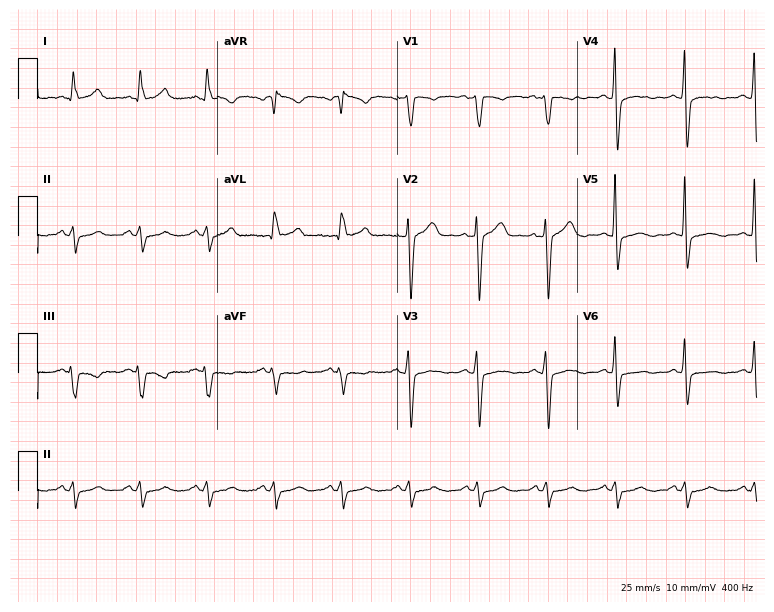
12-lead ECG from a male patient, 50 years old. Screened for six findings — first-degree AV block, right bundle branch block (RBBB), left bundle branch block (LBBB), sinus bradycardia, atrial fibrillation (AF), sinus tachycardia — none is recorded. Findings outside these six are not listed.